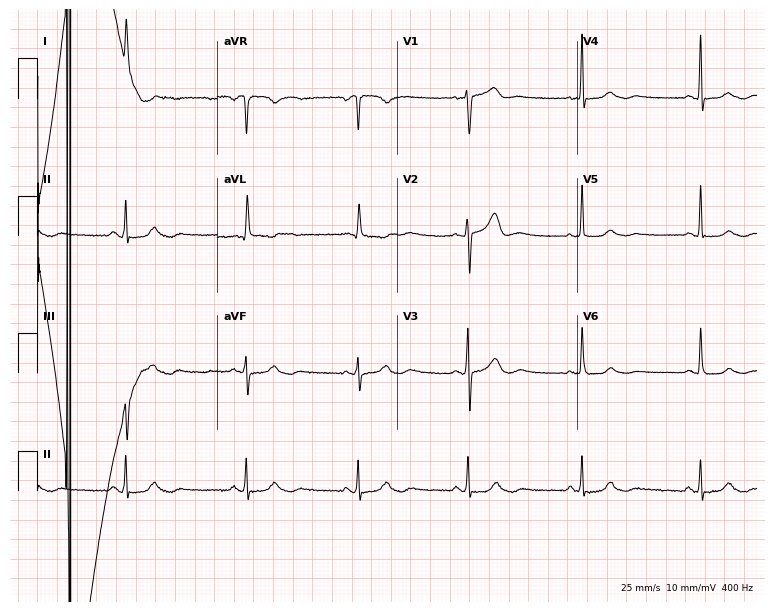
ECG — a female patient, 72 years old. Screened for six findings — first-degree AV block, right bundle branch block, left bundle branch block, sinus bradycardia, atrial fibrillation, sinus tachycardia — none is recorded.